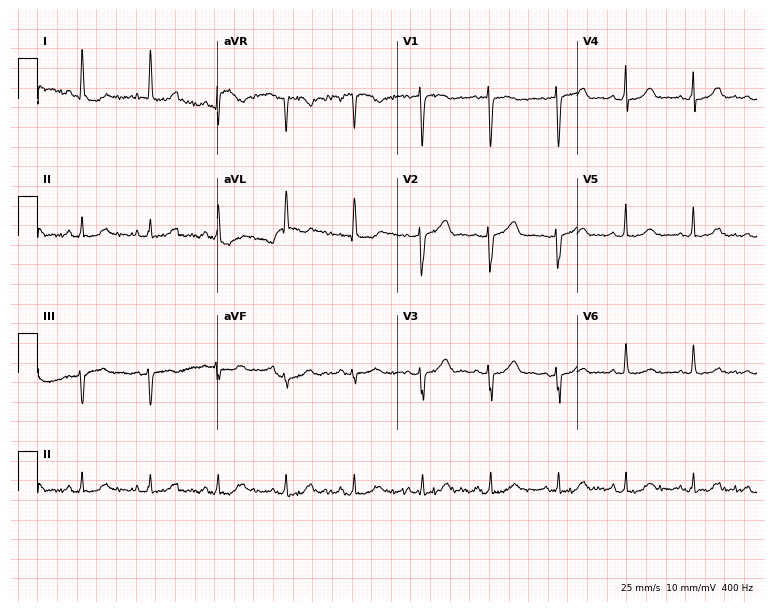
Electrocardiogram, a 78-year-old female patient. Of the six screened findings (first-degree AV block, right bundle branch block, left bundle branch block, sinus bradycardia, atrial fibrillation, sinus tachycardia), none is recorded.